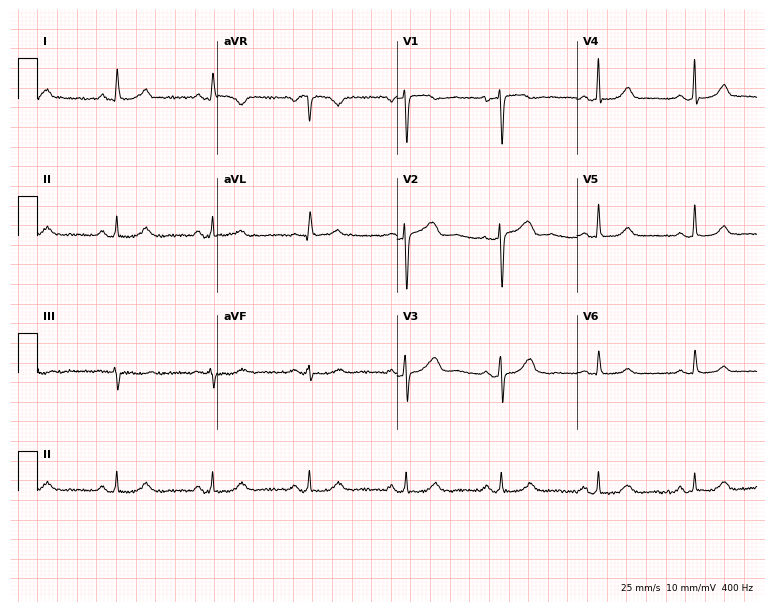
Resting 12-lead electrocardiogram. Patient: a 55-year-old woman. None of these six findings is recorded: first-degree AV block, right bundle branch block, left bundle branch block, sinus bradycardia, atrial fibrillation, sinus tachycardia. Other findings, if any, are not listed.